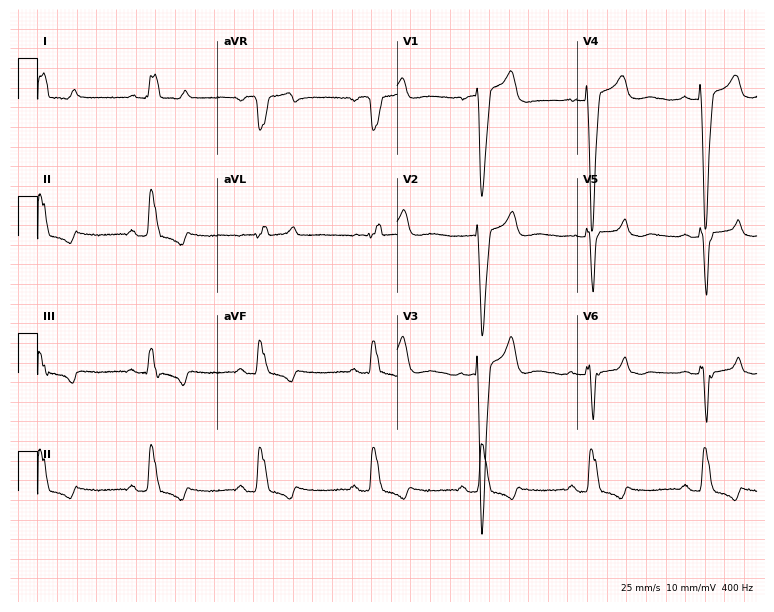
Electrocardiogram, a 59-year-old female. Interpretation includes left bundle branch block.